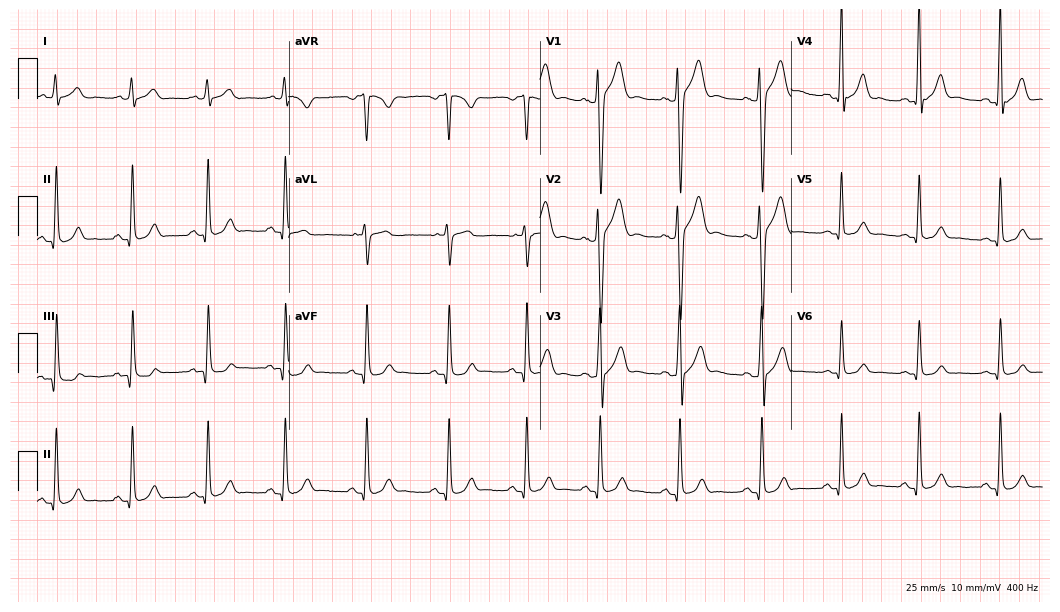
Electrocardiogram (10.2-second recording at 400 Hz), a male patient, 21 years old. Overall reading on record: normal ECG.